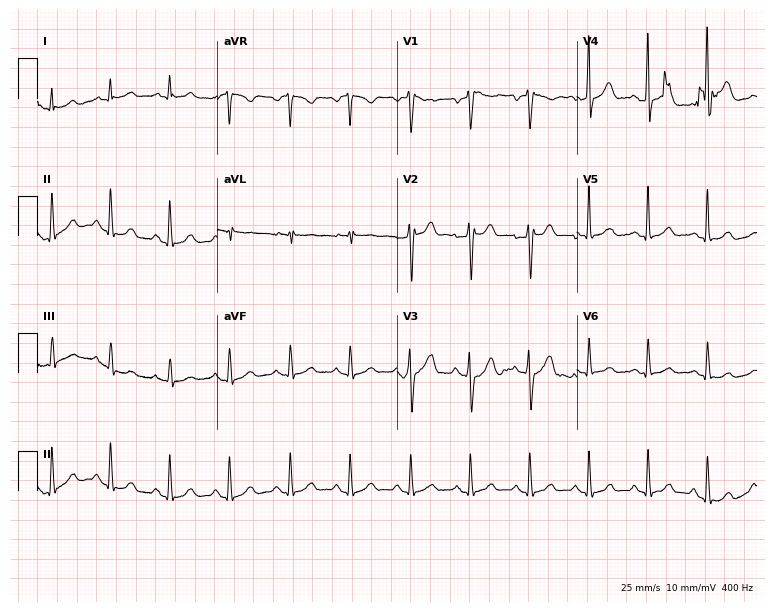
Electrocardiogram, a male, 53 years old. Of the six screened findings (first-degree AV block, right bundle branch block, left bundle branch block, sinus bradycardia, atrial fibrillation, sinus tachycardia), none is recorded. Findings outside these six are not listed.